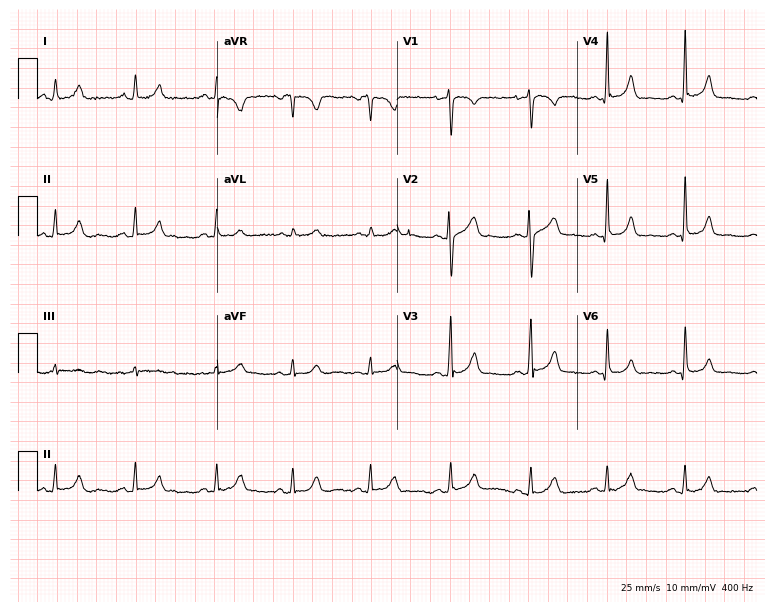
12-lead ECG (7.3-second recording at 400 Hz) from a female, 29 years old. Labelled as a normal ECG.